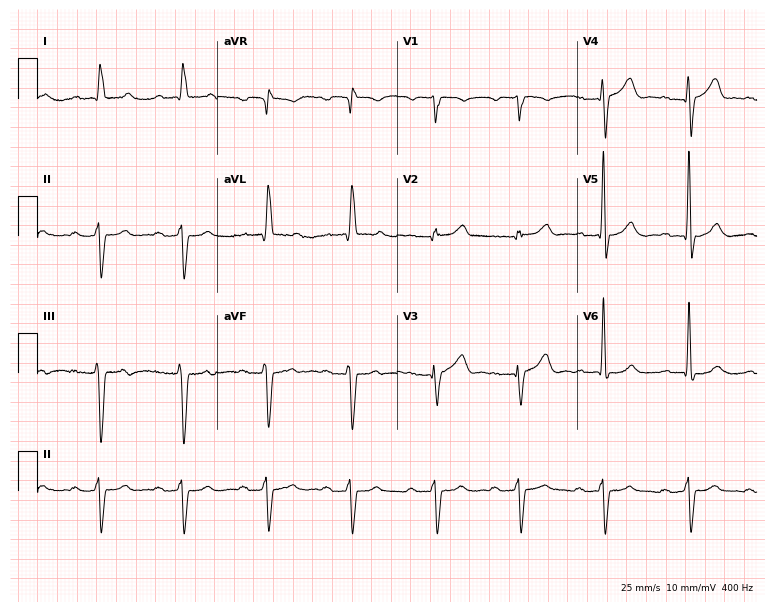
12-lead ECG (7.3-second recording at 400 Hz) from a male patient, 85 years old. Findings include first-degree AV block.